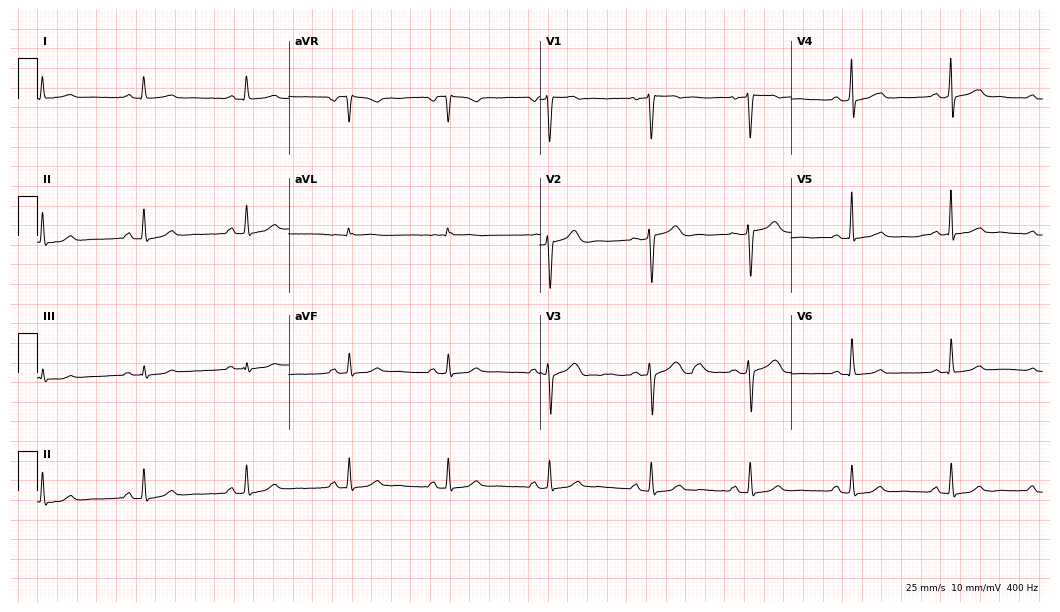
Electrocardiogram, a 46-year-old female patient. Overall reading on record: normal ECG.